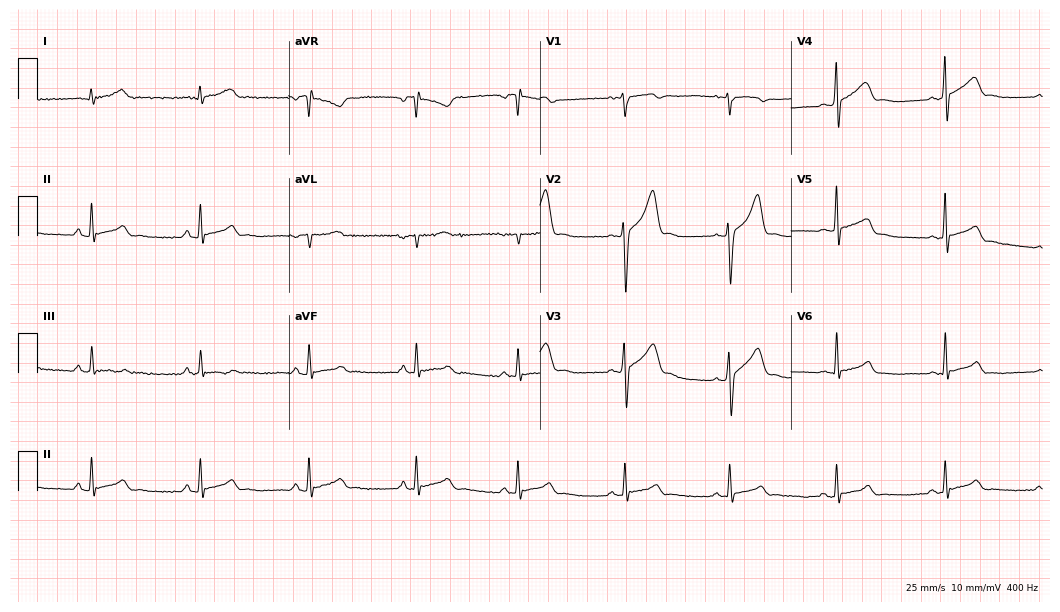
Standard 12-lead ECG recorded from a 38-year-old man (10.2-second recording at 400 Hz). Read as a normal ECG.